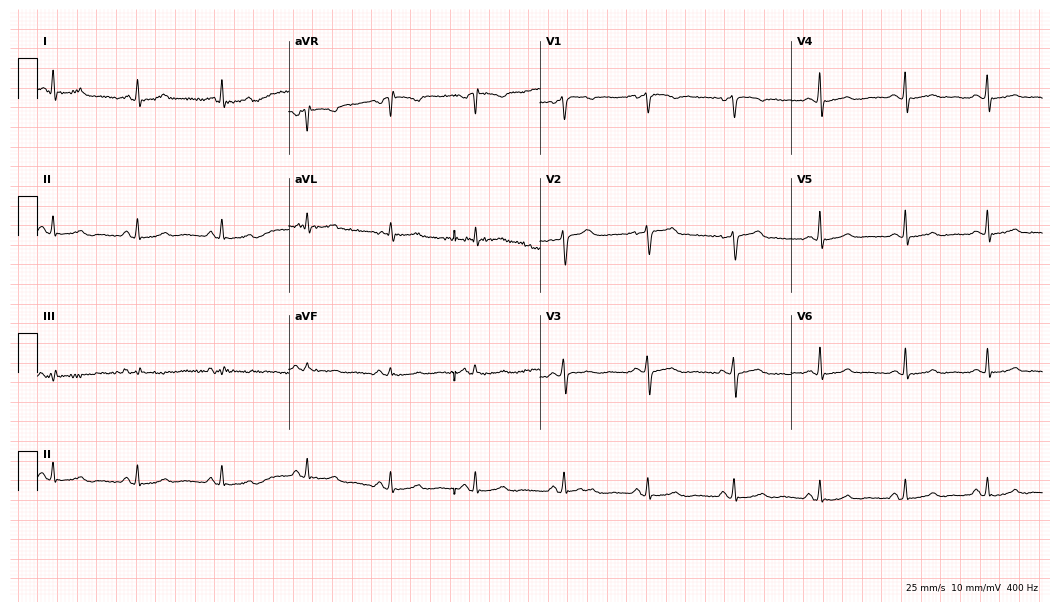
ECG — a 44-year-old female. Labelled as a normal ECG.